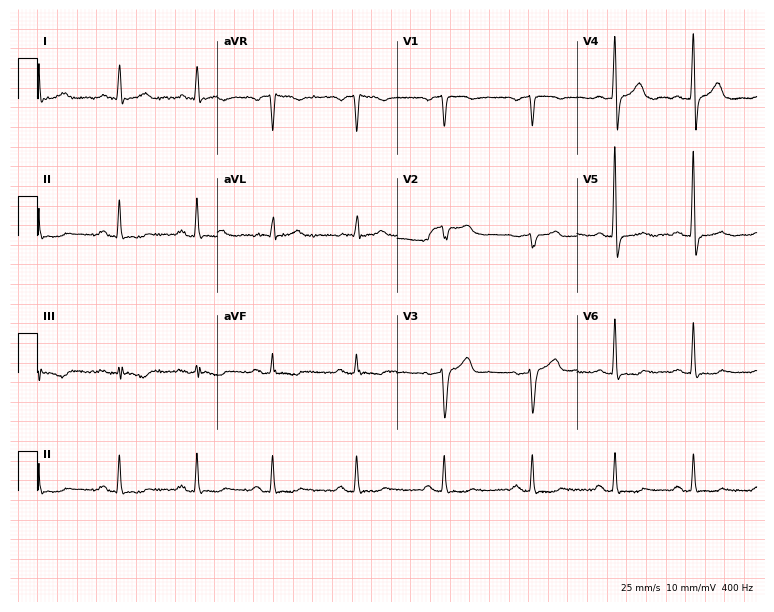
Standard 12-lead ECG recorded from a 60-year-old man (7.3-second recording at 400 Hz). None of these six findings is recorded: first-degree AV block, right bundle branch block, left bundle branch block, sinus bradycardia, atrial fibrillation, sinus tachycardia. Only these six findings were labelled.